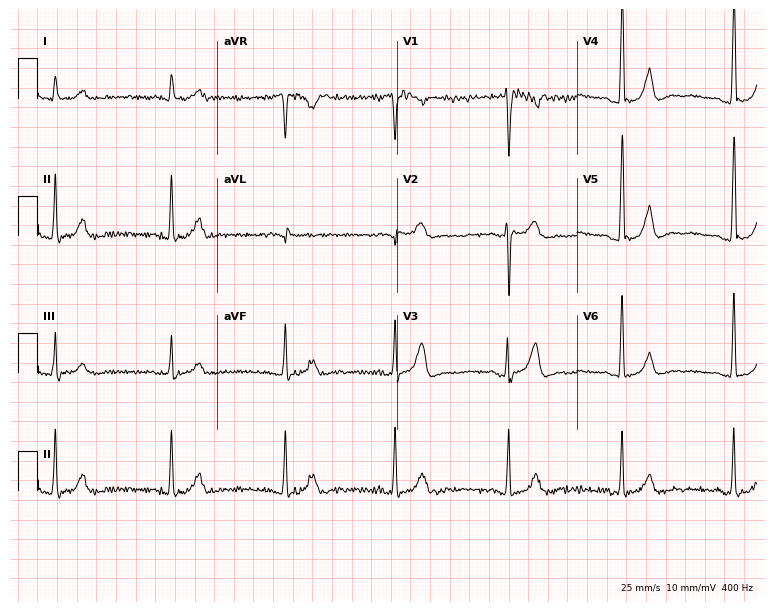
12-lead ECG from a male, 44 years old (7.3-second recording at 400 Hz). Recorded interpretation: within normal limits.